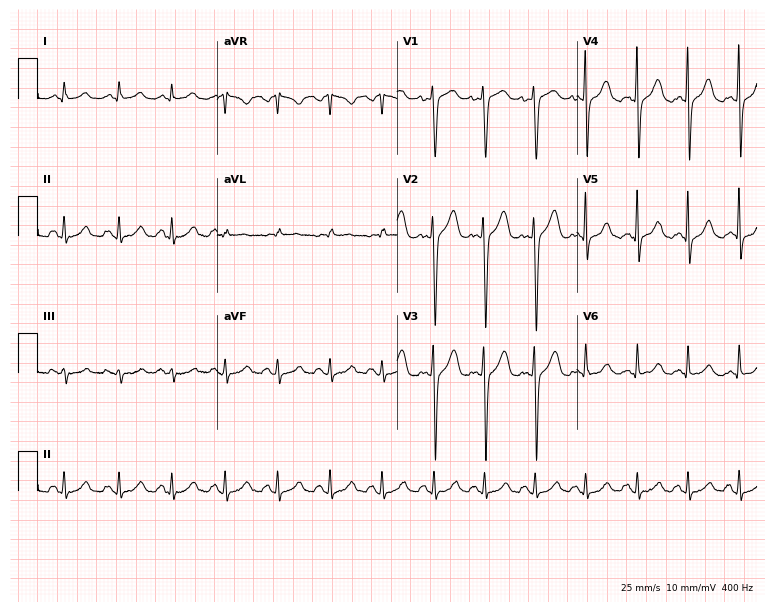
12-lead ECG from a 43-year-old male patient (7.3-second recording at 400 Hz). Shows sinus tachycardia (a sinus rate of 100 beats per minute or more).